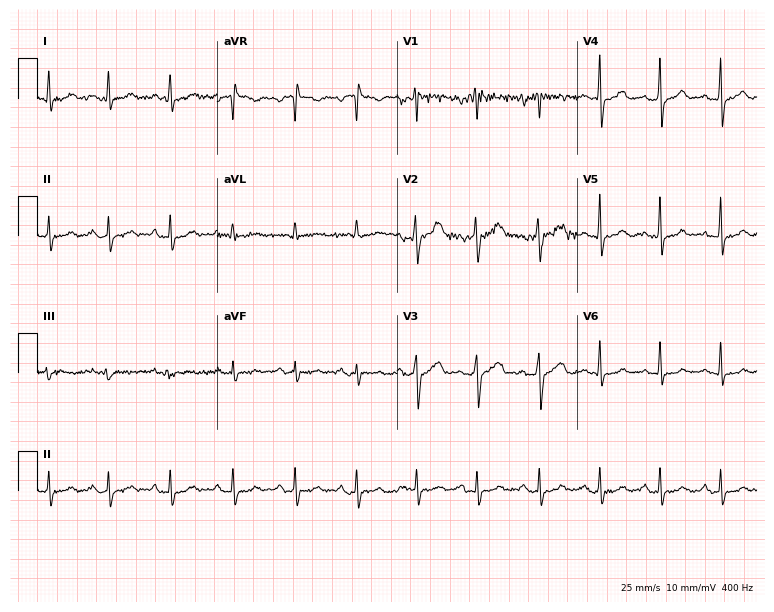
12-lead ECG from a man, 49 years old (7.3-second recording at 400 Hz). No first-degree AV block, right bundle branch block (RBBB), left bundle branch block (LBBB), sinus bradycardia, atrial fibrillation (AF) or sinus tachycardia recorded for this tracing.